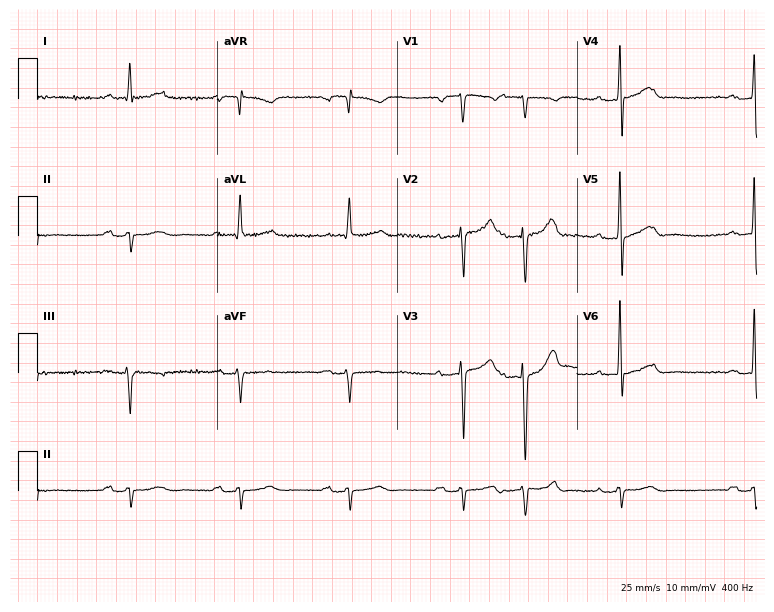
Standard 12-lead ECG recorded from a man, 76 years old. The tracing shows first-degree AV block.